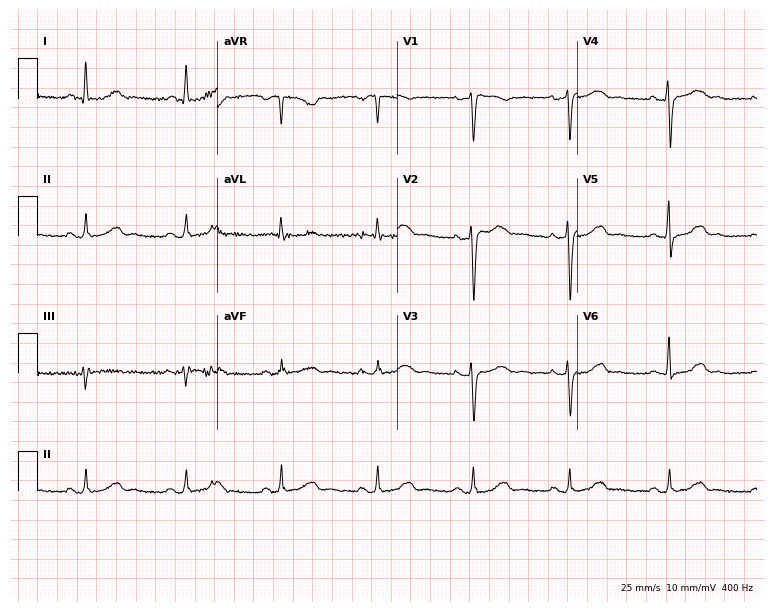
Standard 12-lead ECG recorded from a 53-year-old female (7.3-second recording at 400 Hz). None of these six findings is recorded: first-degree AV block, right bundle branch block, left bundle branch block, sinus bradycardia, atrial fibrillation, sinus tachycardia. Findings outside these six are not listed.